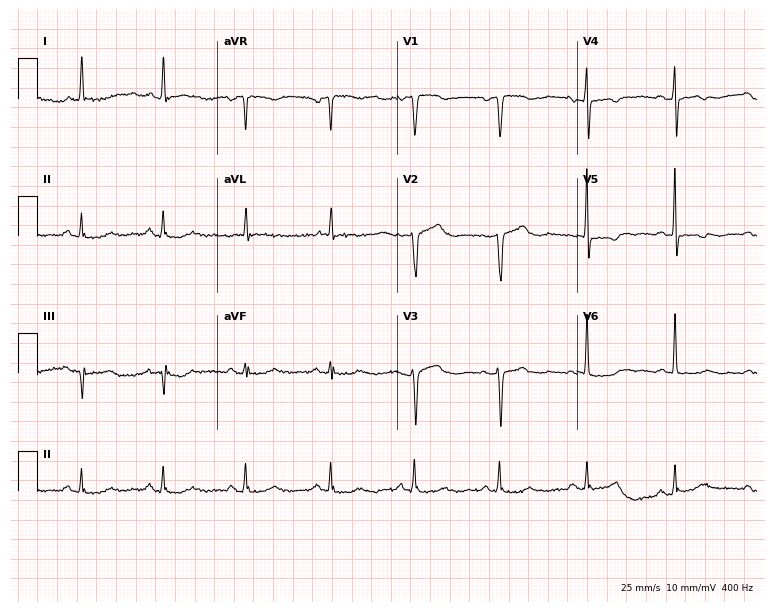
Standard 12-lead ECG recorded from a 69-year-old woman (7.3-second recording at 400 Hz). None of these six findings is recorded: first-degree AV block, right bundle branch block, left bundle branch block, sinus bradycardia, atrial fibrillation, sinus tachycardia. Only these six findings were labelled.